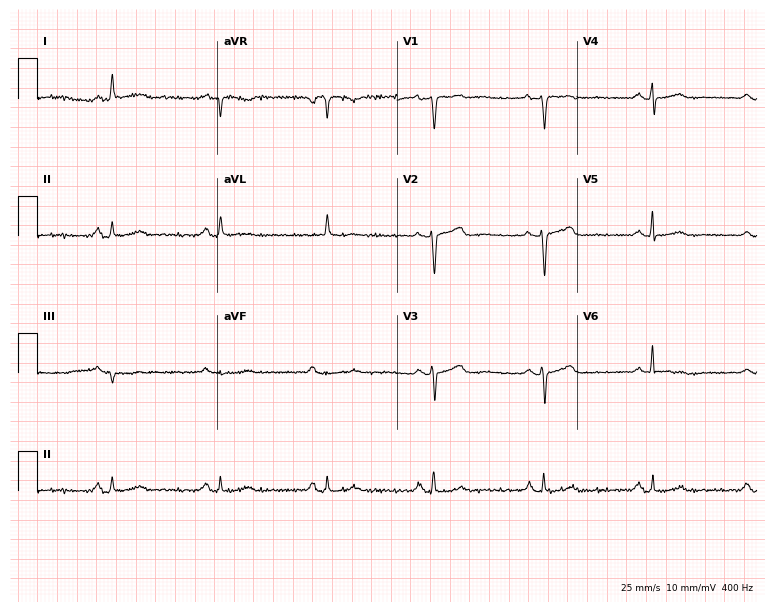
Electrocardiogram, a woman, 70 years old. Overall reading on record: normal ECG.